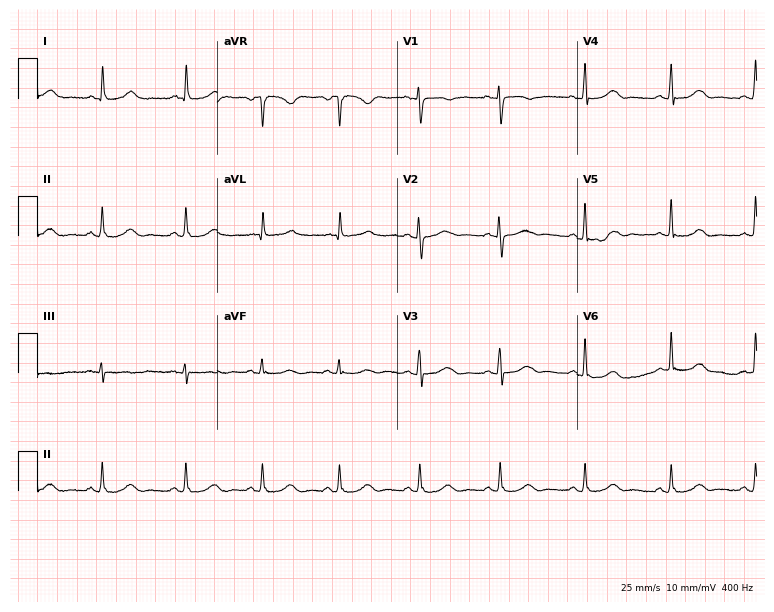
Resting 12-lead electrocardiogram. Patient: a female, 63 years old. Read as a normal ECG.